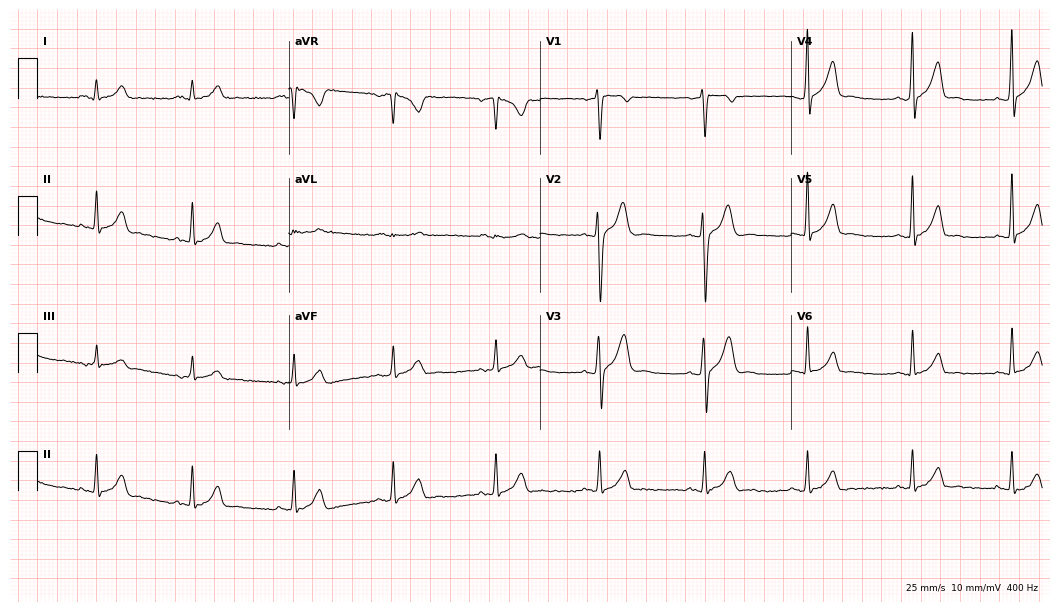
Resting 12-lead electrocardiogram. Patient: a 29-year-old male. Read as a normal ECG.